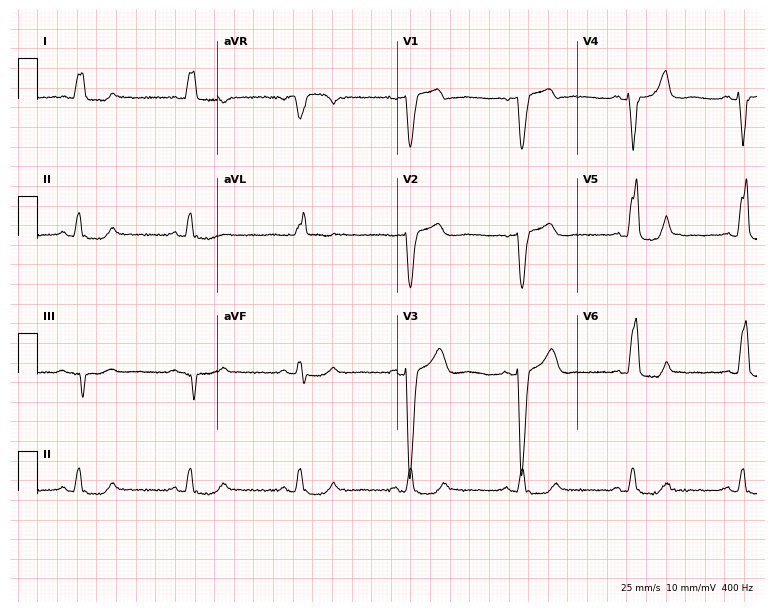
12-lead ECG from a female patient, 84 years old. Findings include left bundle branch block.